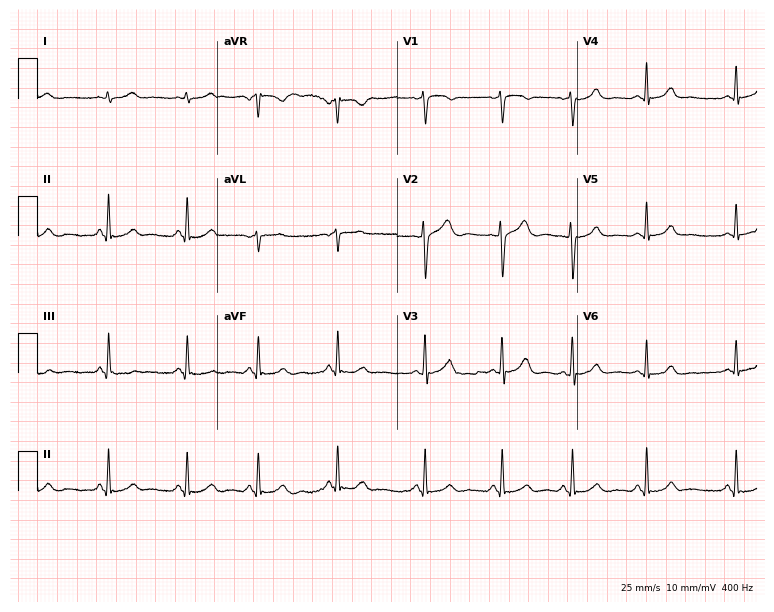
Standard 12-lead ECG recorded from a male patient, 21 years old (7.3-second recording at 400 Hz). Read as a normal ECG.